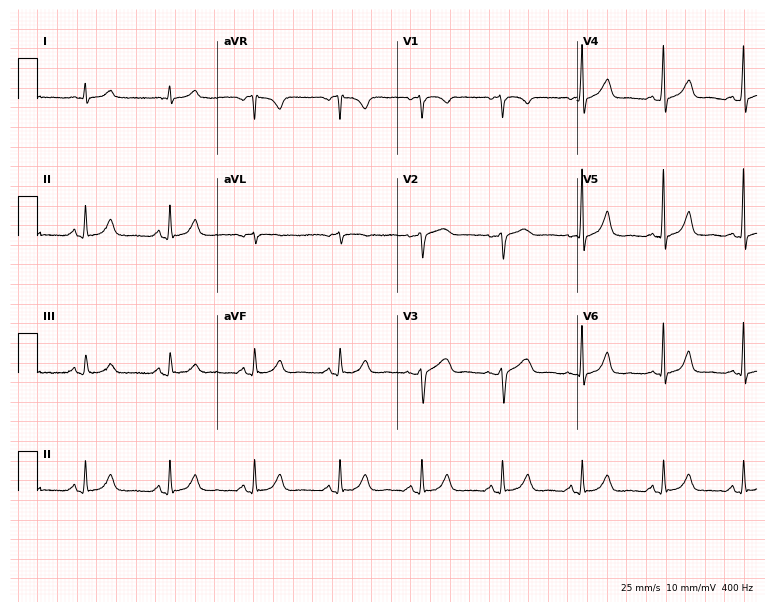
Standard 12-lead ECG recorded from a 58-year-old male. Read as a normal ECG.